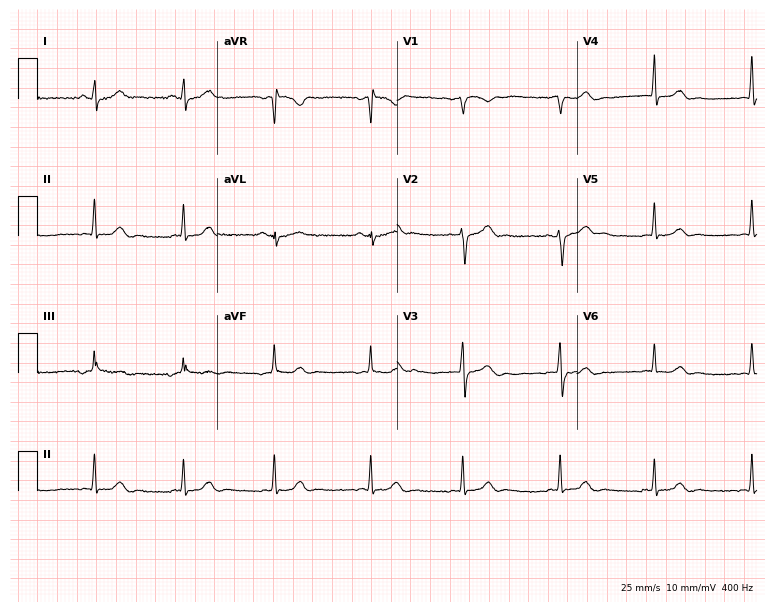
Resting 12-lead electrocardiogram. Patient: a 28-year-old female. Read as a normal ECG.